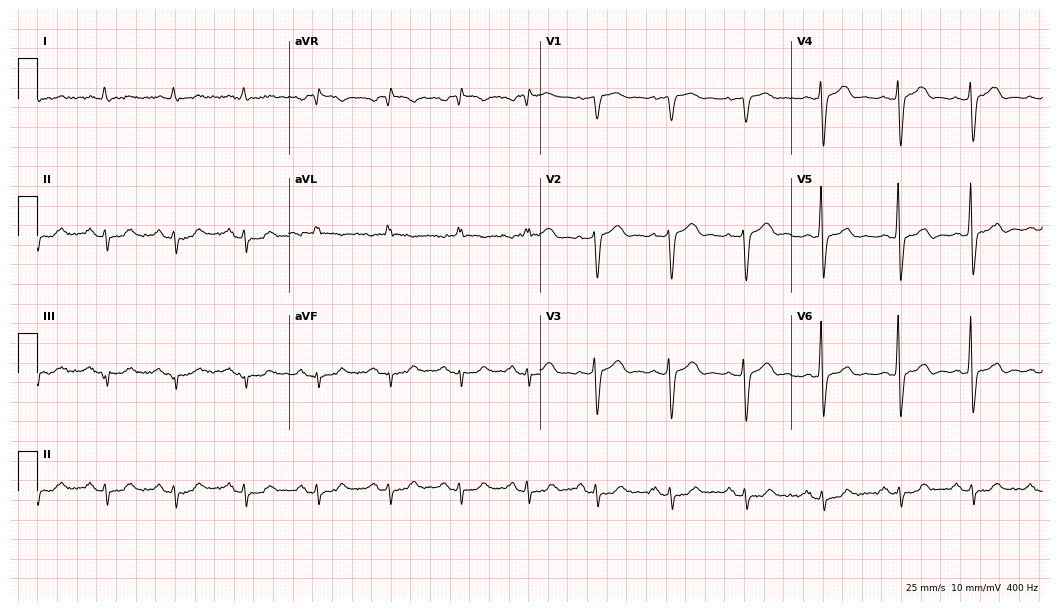
Standard 12-lead ECG recorded from a 69-year-old male patient. None of these six findings is recorded: first-degree AV block, right bundle branch block, left bundle branch block, sinus bradycardia, atrial fibrillation, sinus tachycardia.